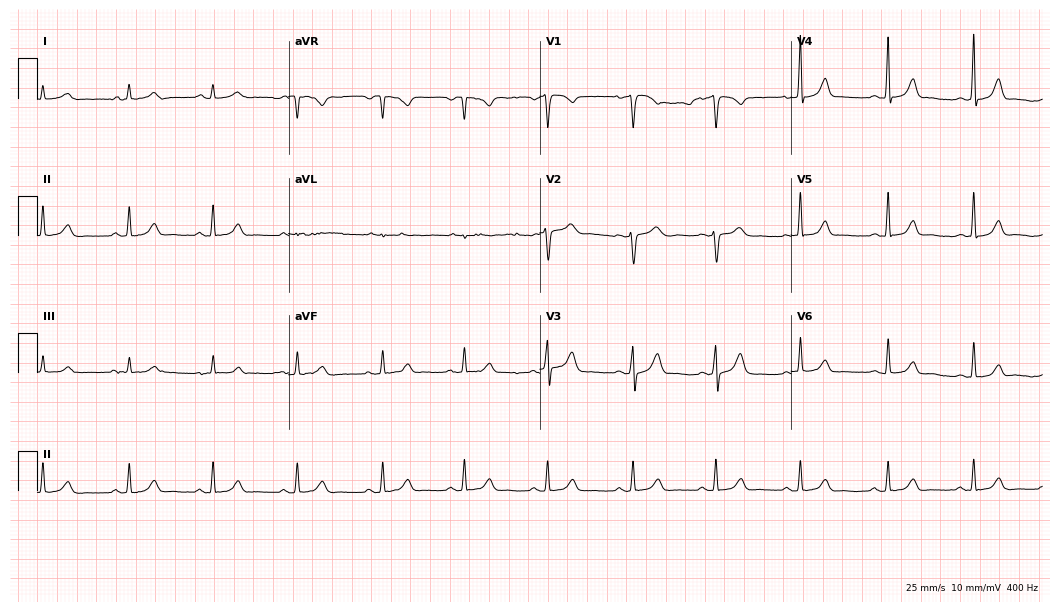
12-lead ECG from a female, 30 years old. Labelled as a normal ECG.